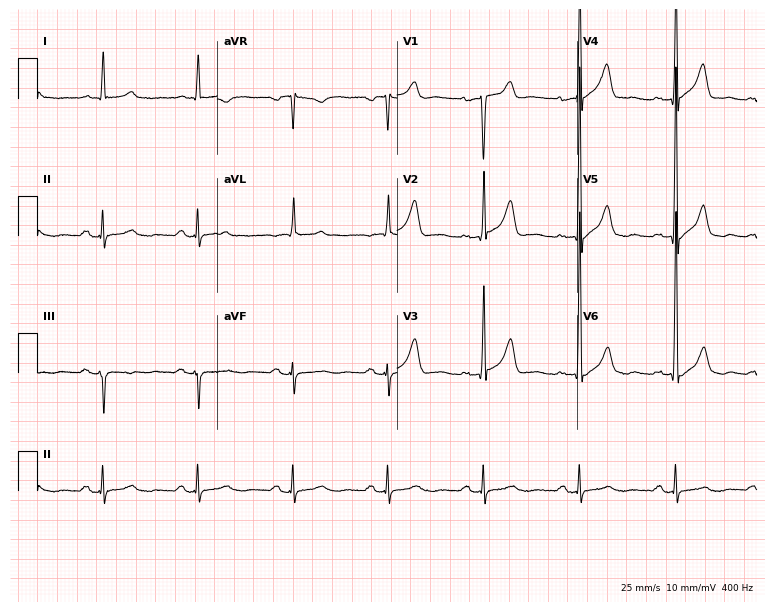
Standard 12-lead ECG recorded from a male patient, 71 years old (7.3-second recording at 400 Hz). None of these six findings is recorded: first-degree AV block, right bundle branch block (RBBB), left bundle branch block (LBBB), sinus bradycardia, atrial fibrillation (AF), sinus tachycardia. Only these six findings were labelled.